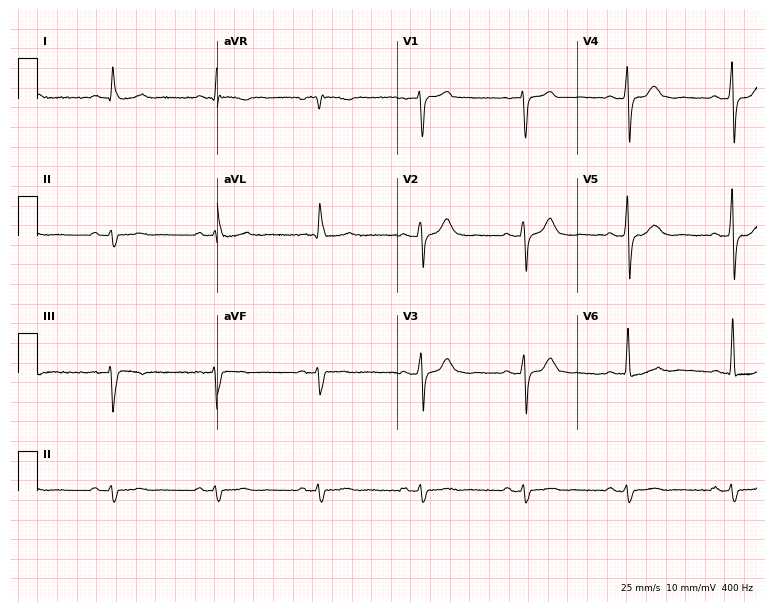
Resting 12-lead electrocardiogram. Patient: a 67-year-old female. None of these six findings is recorded: first-degree AV block, right bundle branch block (RBBB), left bundle branch block (LBBB), sinus bradycardia, atrial fibrillation (AF), sinus tachycardia.